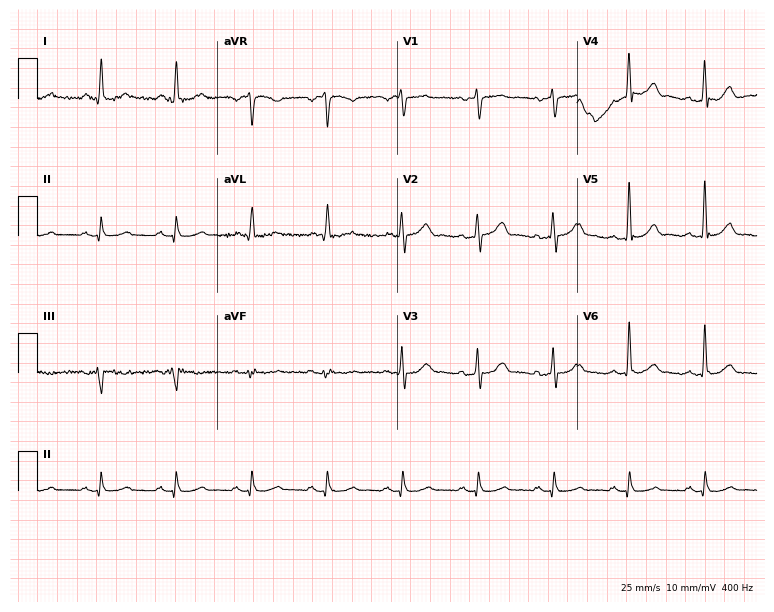
ECG (7.3-second recording at 400 Hz) — a man, 72 years old. Screened for six findings — first-degree AV block, right bundle branch block, left bundle branch block, sinus bradycardia, atrial fibrillation, sinus tachycardia — none is recorded. Findings outside these six are not listed.